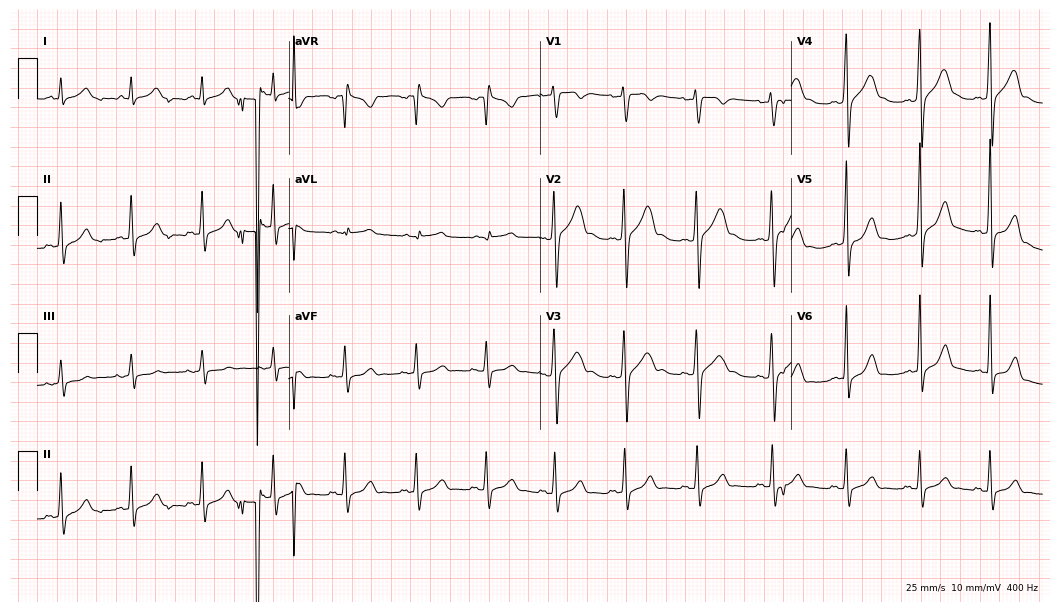
12-lead ECG from a 27-year-old male patient. Labelled as a normal ECG.